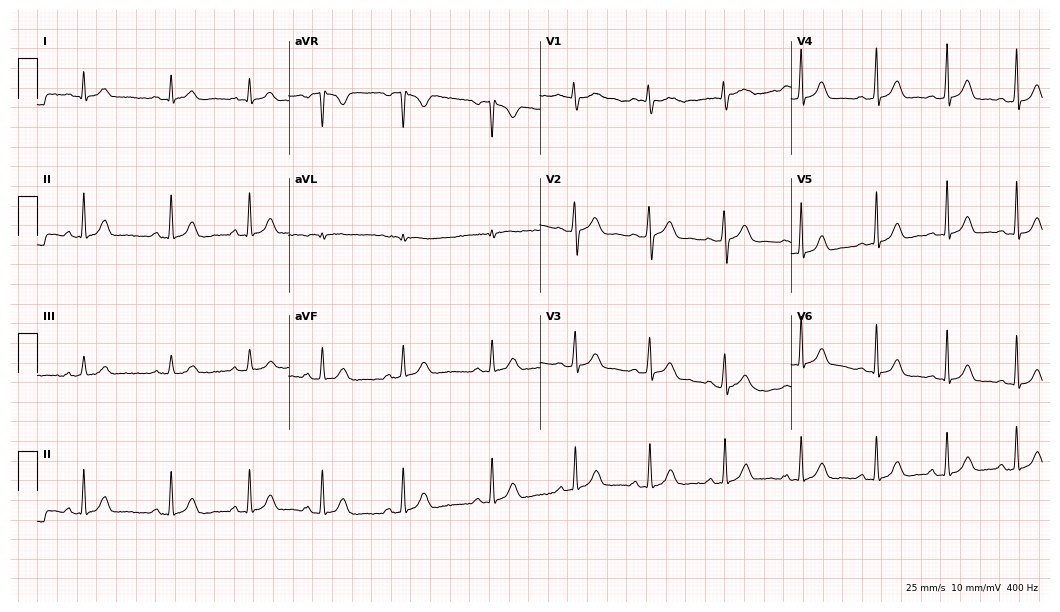
12-lead ECG from a 32-year-old woman. Recorded interpretation: within normal limits.